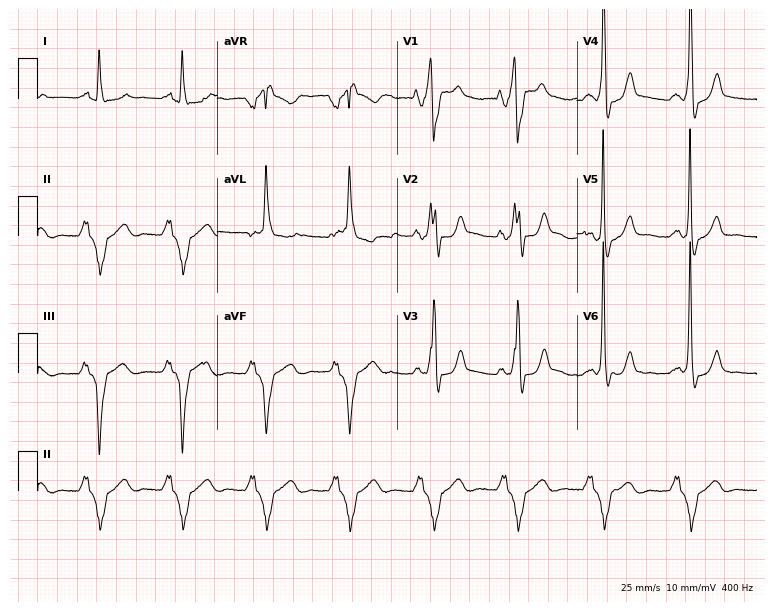
Resting 12-lead electrocardiogram. Patient: a 53-year-old male. The tracing shows right bundle branch block (RBBB).